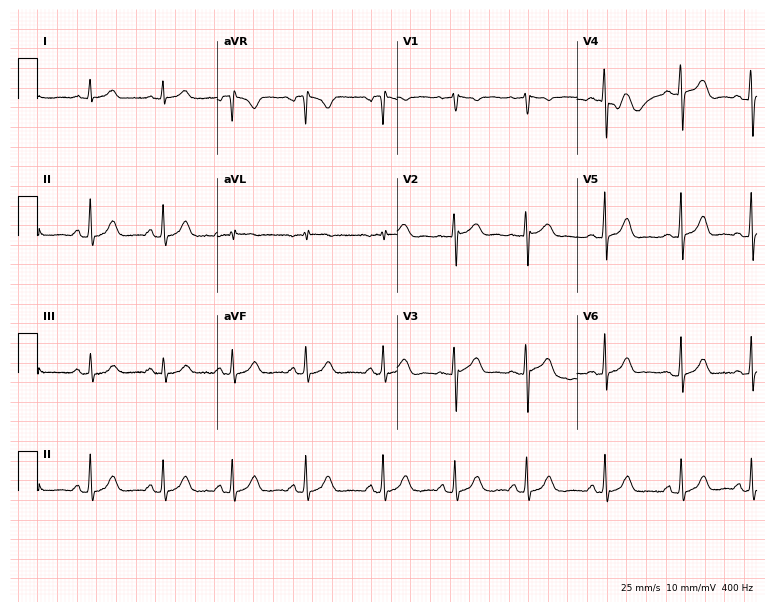
Resting 12-lead electrocardiogram (7.3-second recording at 400 Hz). Patient: a female, 20 years old. Read as a normal ECG.